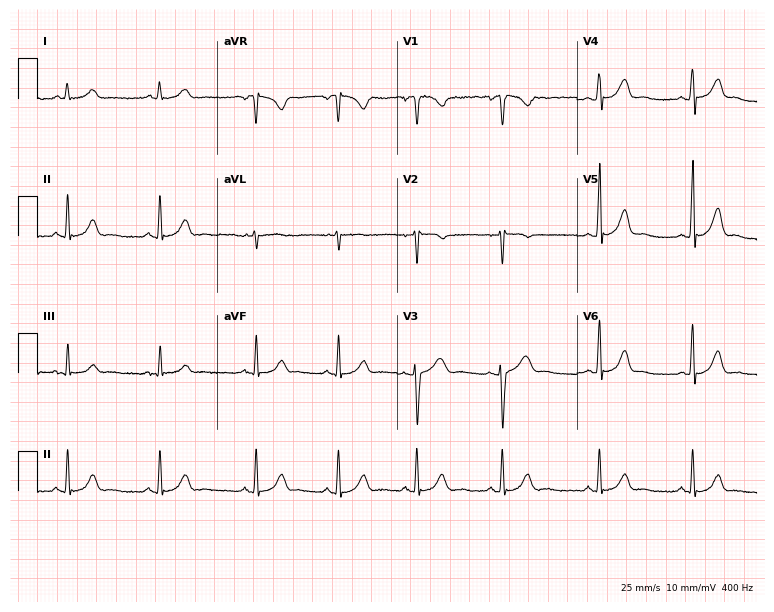
Standard 12-lead ECG recorded from a 30-year-old woman (7.3-second recording at 400 Hz). Read as a normal ECG.